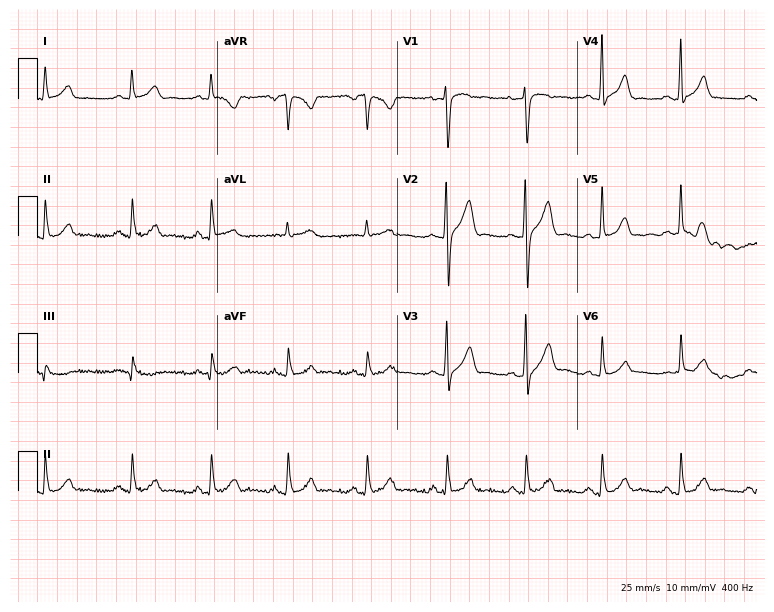
12-lead ECG from a male patient, 33 years old. No first-degree AV block, right bundle branch block, left bundle branch block, sinus bradycardia, atrial fibrillation or sinus tachycardia recorded for this tracing.